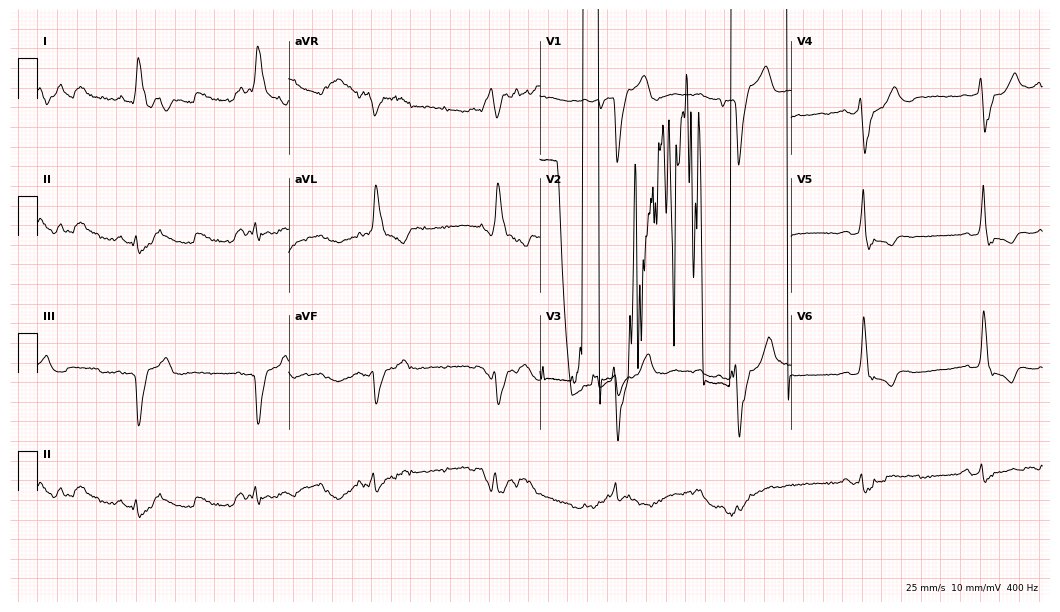
12-lead ECG (10.2-second recording at 400 Hz) from a 73-year-old male patient. Screened for six findings — first-degree AV block, right bundle branch block, left bundle branch block, sinus bradycardia, atrial fibrillation, sinus tachycardia — none is recorded. Other findings, if any, are not listed.